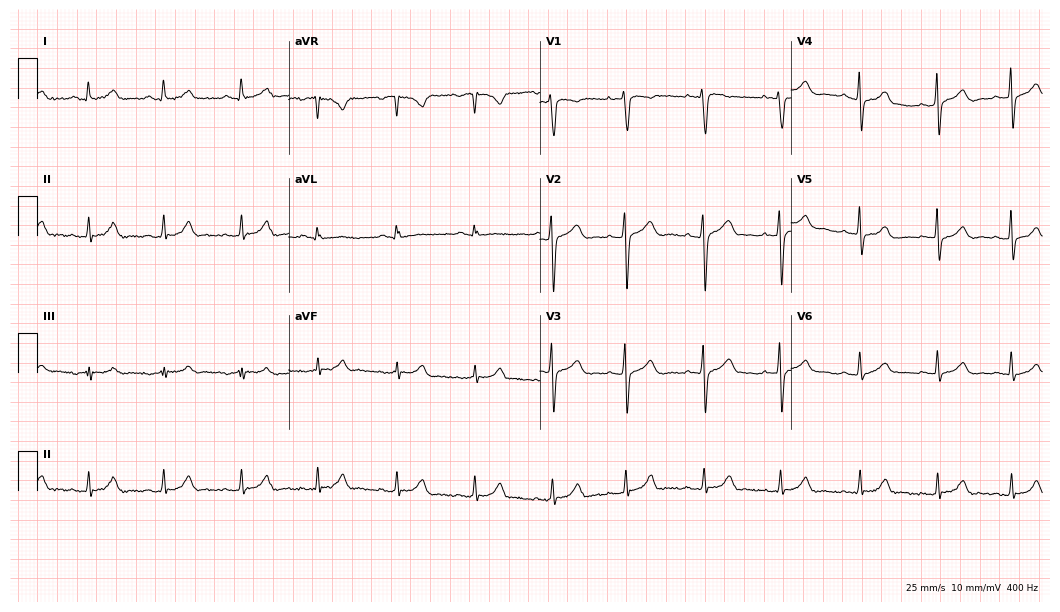
Resting 12-lead electrocardiogram (10.2-second recording at 400 Hz). Patient: a man, 40 years old. Read as a normal ECG.